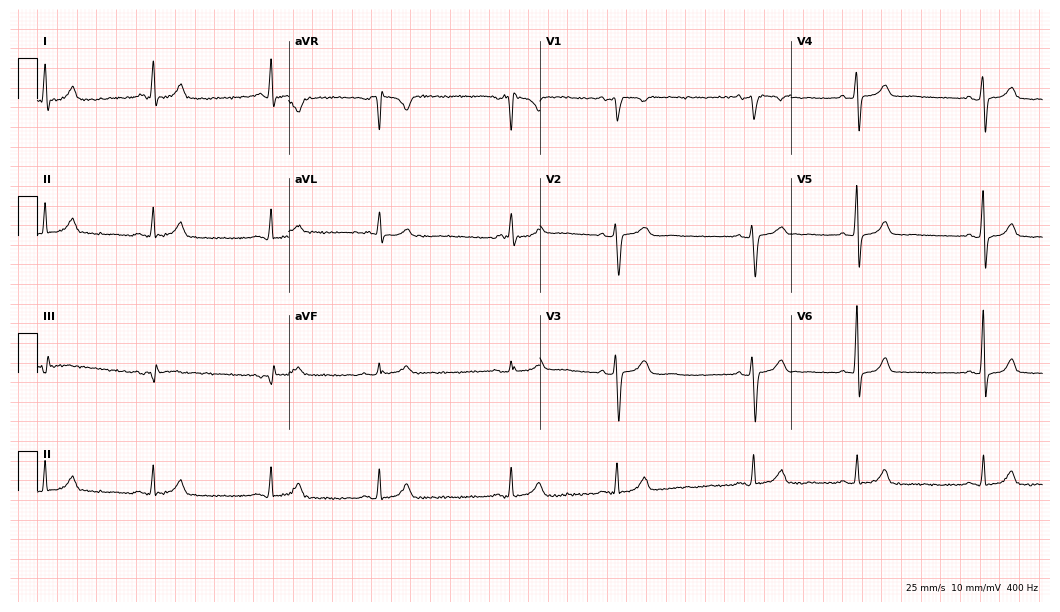
Electrocardiogram (10.2-second recording at 400 Hz), a woman, 47 years old. Overall reading on record: normal ECG.